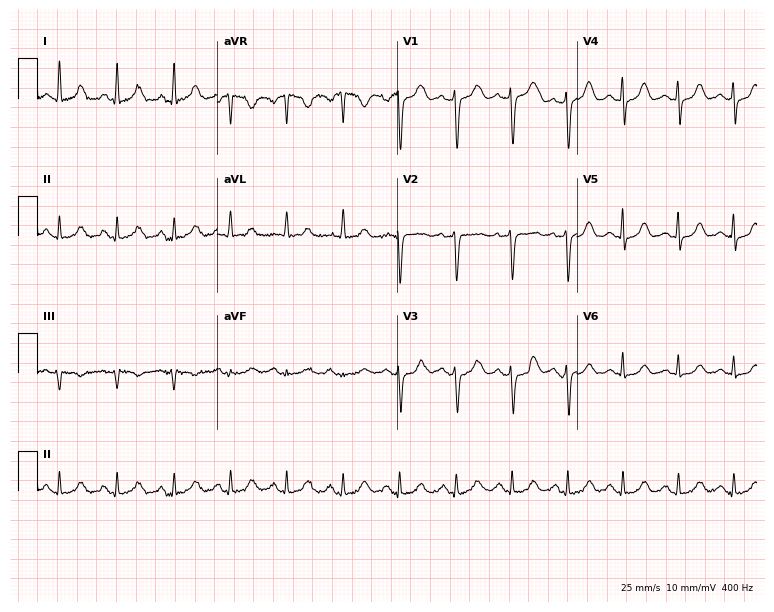
Electrocardiogram (7.3-second recording at 400 Hz), a female, 60 years old. Of the six screened findings (first-degree AV block, right bundle branch block, left bundle branch block, sinus bradycardia, atrial fibrillation, sinus tachycardia), none is recorded.